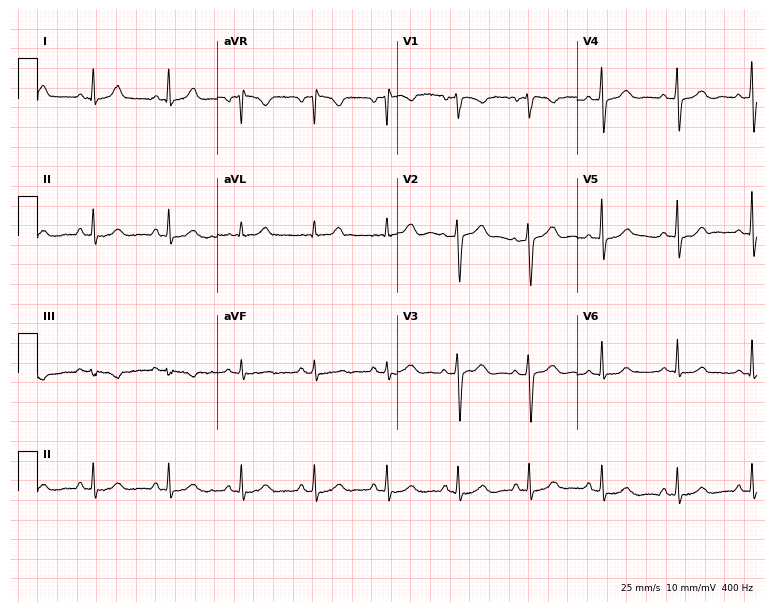
Electrocardiogram, a 46-year-old woman. Overall reading on record: normal ECG.